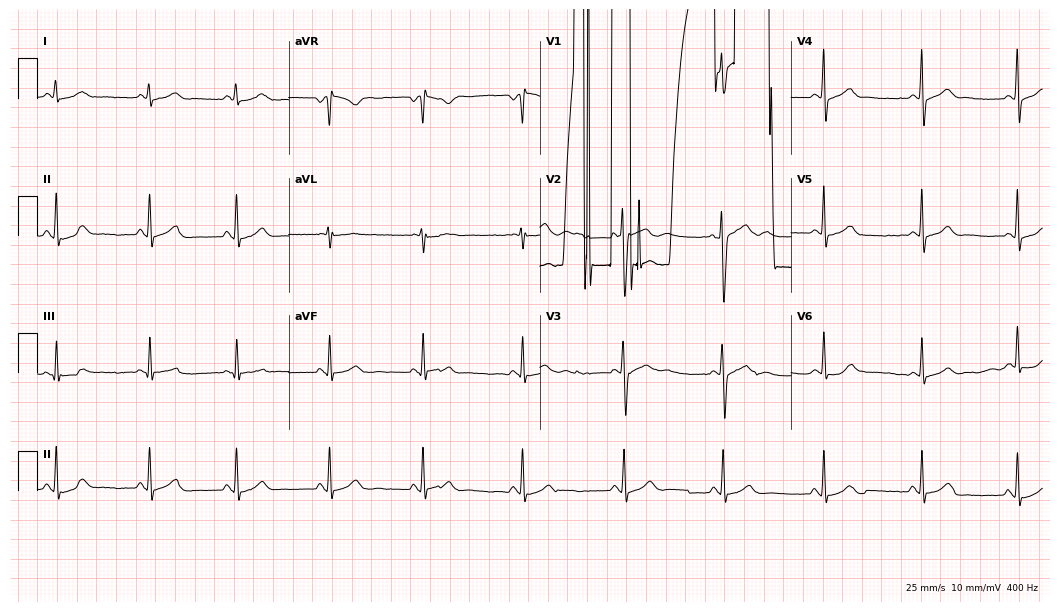
Electrocardiogram, a 25-year-old female. Of the six screened findings (first-degree AV block, right bundle branch block (RBBB), left bundle branch block (LBBB), sinus bradycardia, atrial fibrillation (AF), sinus tachycardia), none is recorded.